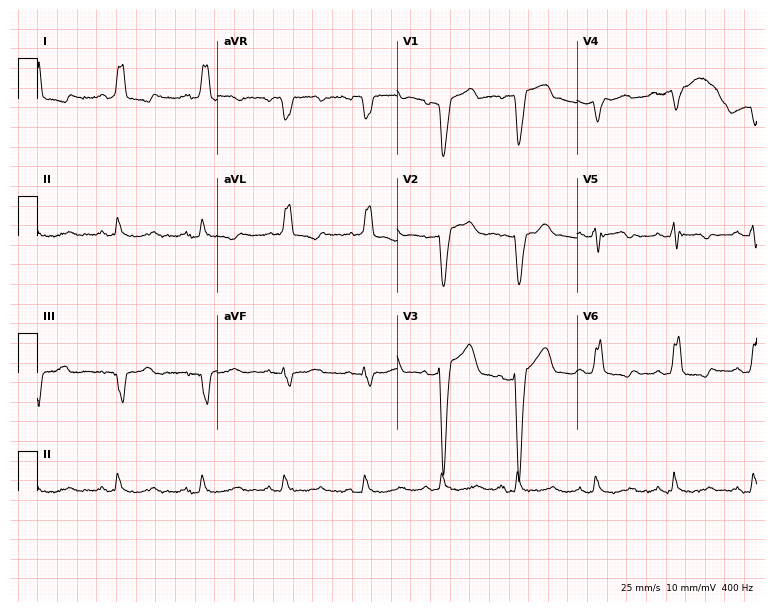
Electrocardiogram (7.3-second recording at 400 Hz), a female, 58 years old. Interpretation includes left bundle branch block.